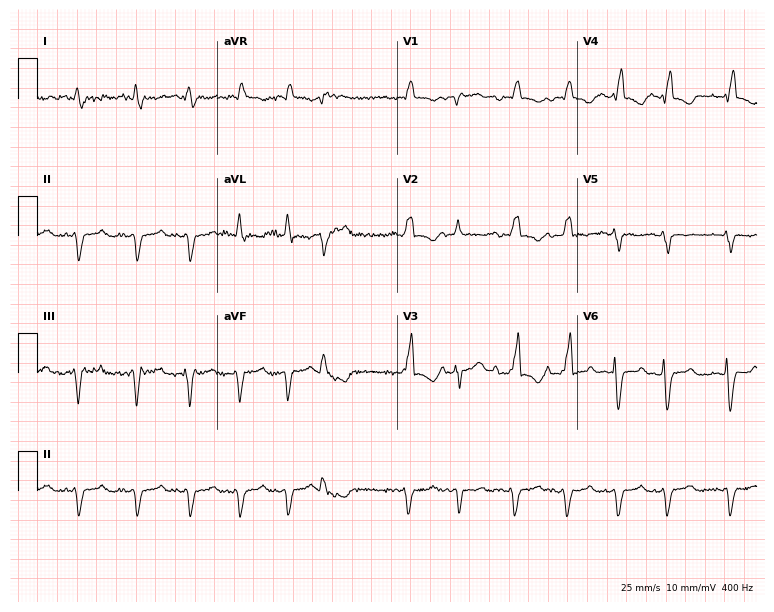
12-lead ECG from a 61-year-old woman. Findings include right bundle branch block, sinus tachycardia (a sinus rate of 100 beats per minute or more).